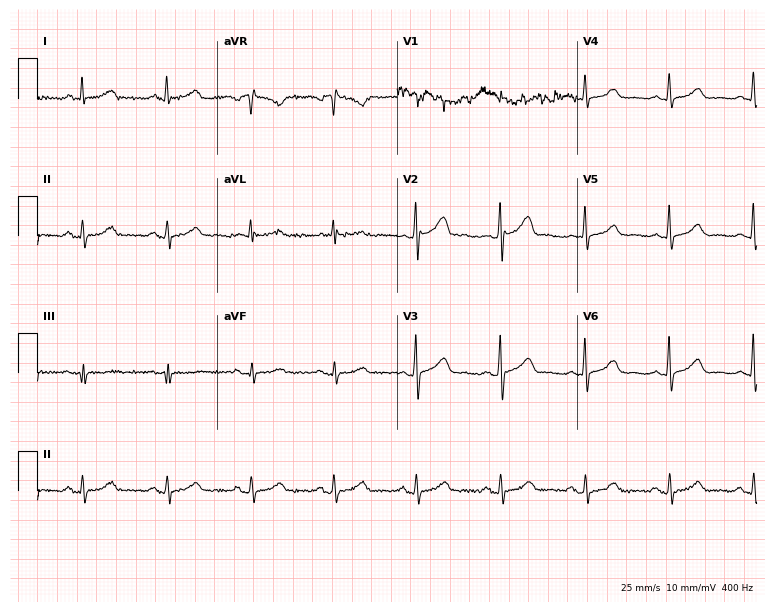
12-lead ECG (7.3-second recording at 400 Hz) from a female patient, 64 years old. Labelled as a normal ECG.